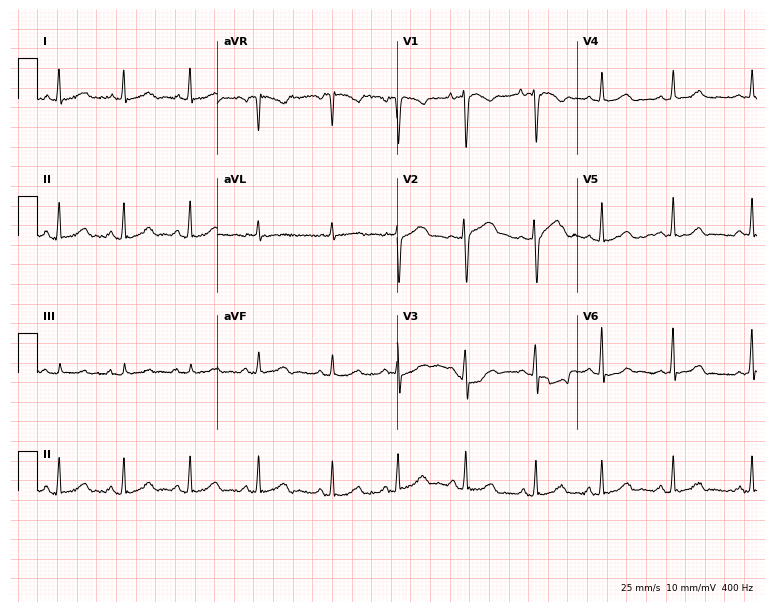
12-lead ECG from a 26-year-old female (7.3-second recording at 400 Hz). No first-degree AV block, right bundle branch block (RBBB), left bundle branch block (LBBB), sinus bradycardia, atrial fibrillation (AF) or sinus tachycardia recorded for this tracing. Only these six findings were labelled.